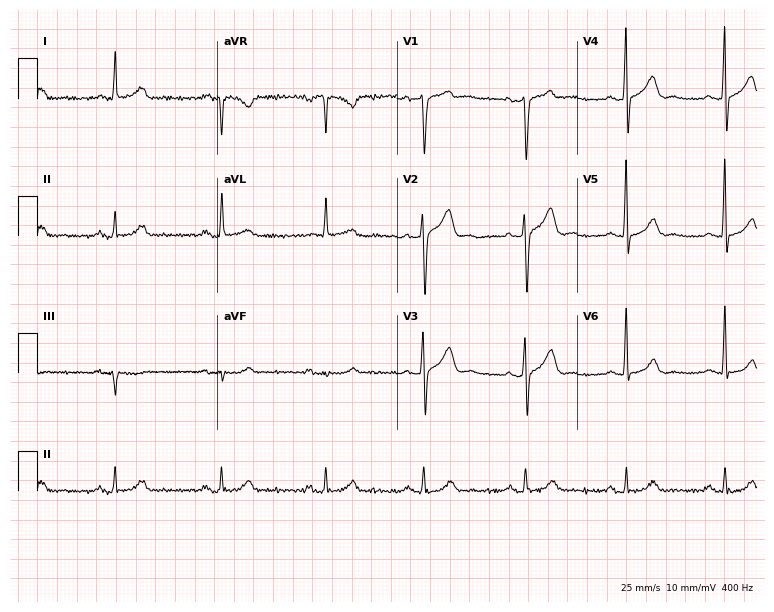
Resting 12-lead electrocardiogram. Patient: a 49-year-old male. None of these six findings is recorded: first-degree AV block, right bundle branch block (RBBB), left bundle branch block (LBBB), sinus bradycardia, atrial fibrillation (AF), sinus tachycardia.